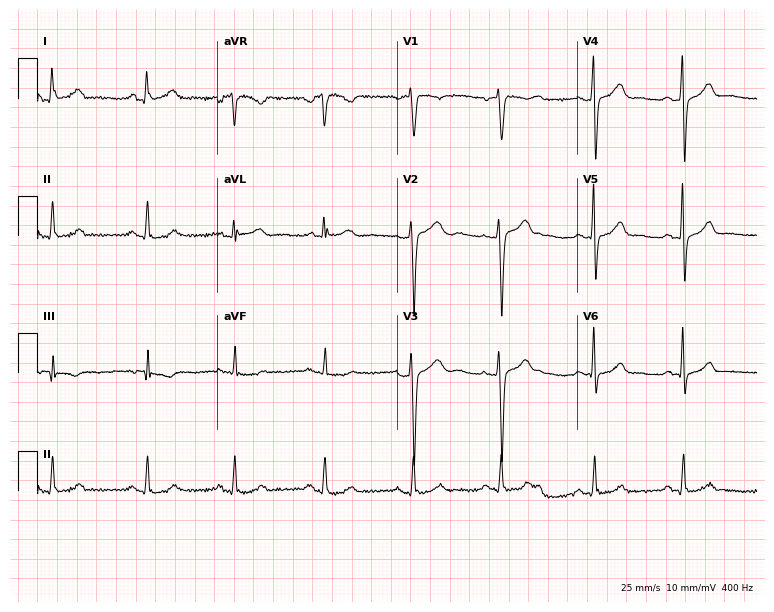
12-lead ECG from a 34-year-old female patient (7.3-second recording at 400 Hz). No first-degree AV block, right bundle branch block, left bundle branch block, sinus bradycardia, atrial fibrillation or sinus tachycardia recorded for this tracing.